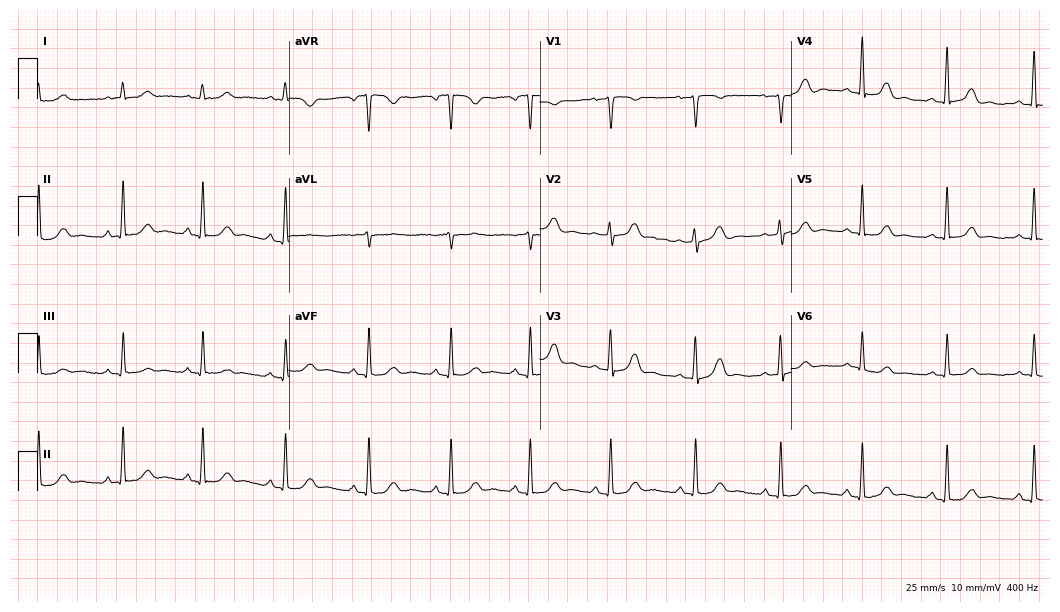
12-lead ECG from a female patient, 33 years old. Recorded interpretation: within normal limits.